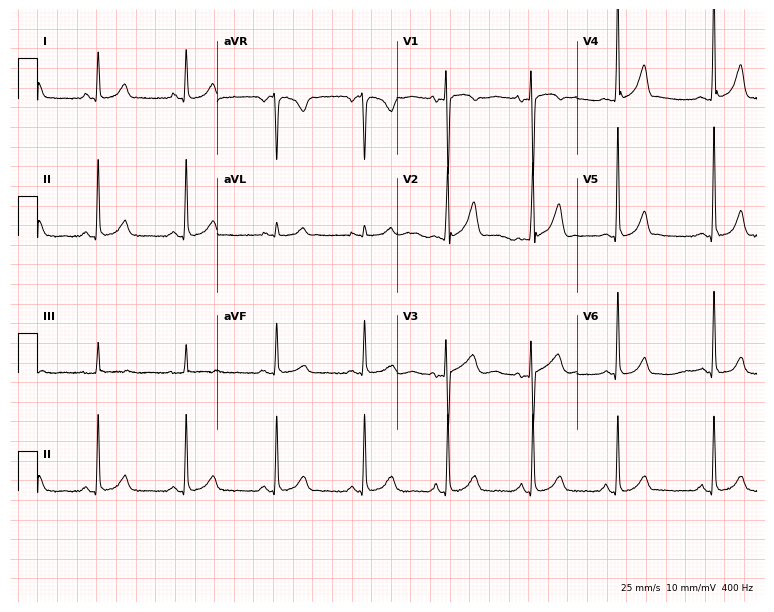
Standard 12-lead ECG recorded from a female, 43 years old (7.3-second recording at 400 Hz). Read as a normal ECG.